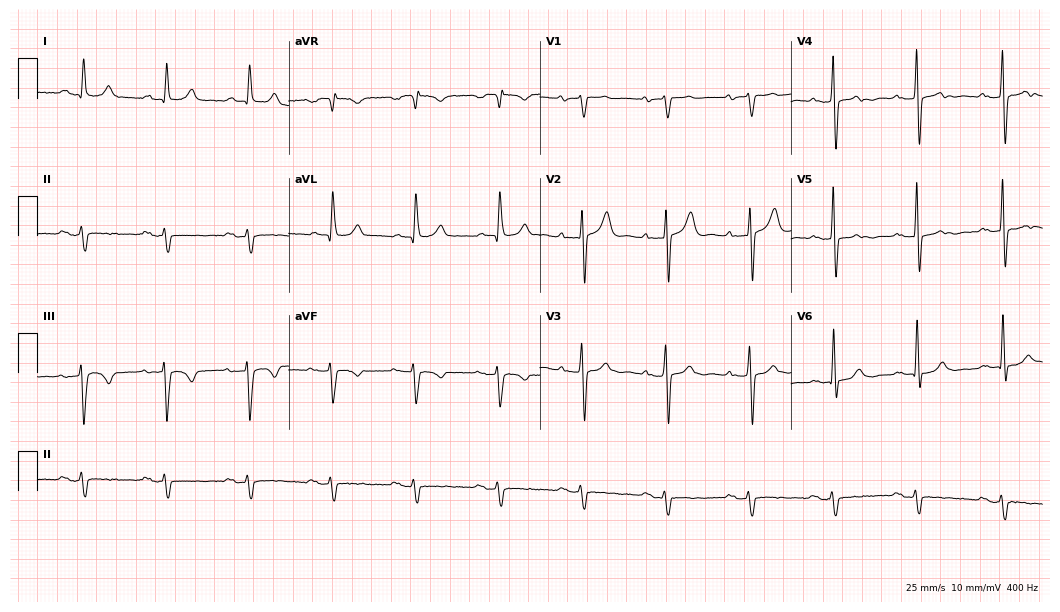
Resting 12-lead electrocardiogram. Patient: a 74-year-old man. None of these six findings is recorded: first-degree AV block, right bundle branch block, left bundle branch block, sinus bradycardia, atrial fibrillation, sinus tachycardia. Other findings, if any, are not listed.